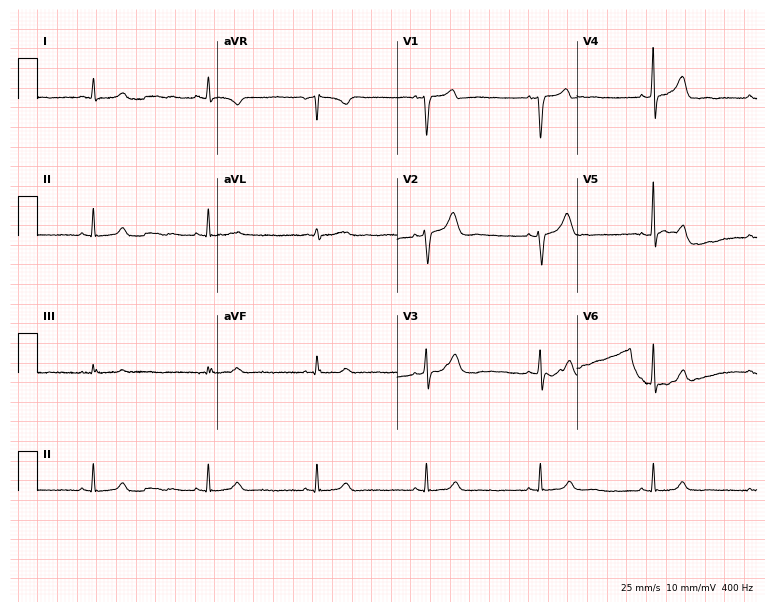
12-lead ECG from a 52-year-old man. Screened for six findings — first-degree AV block, right bundle branch block (RBBB), left bundle branch block (LBBB), sinus bradycardia, atrial fibrillation (AF), sinus tachycardia — none is recorded. Only these six findings were labelled.